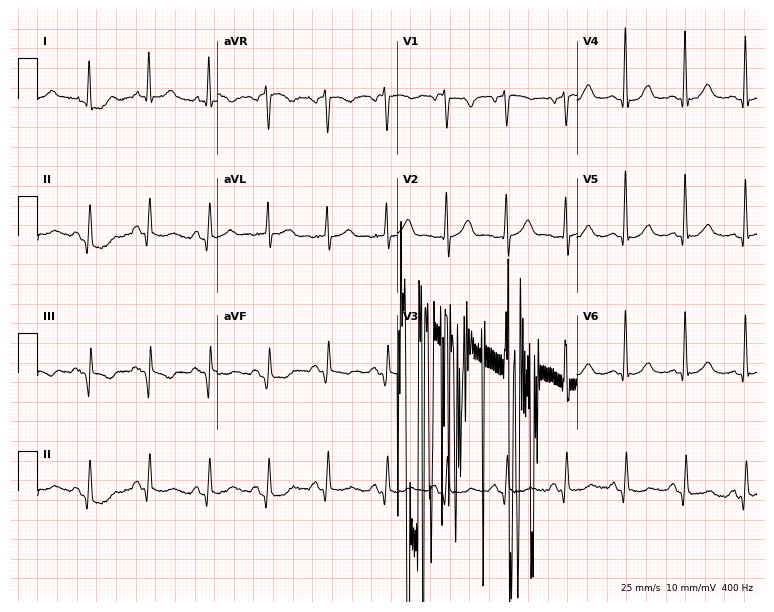
12-lead ECG from a 69-year-old male. Screened for six findings — first-degree AV block, right bundle branch block, left bundle branch block, sinus bradycardia, atrial fibrillation, sinus tachycardia — none is recorded. Only these six findings were labelled.